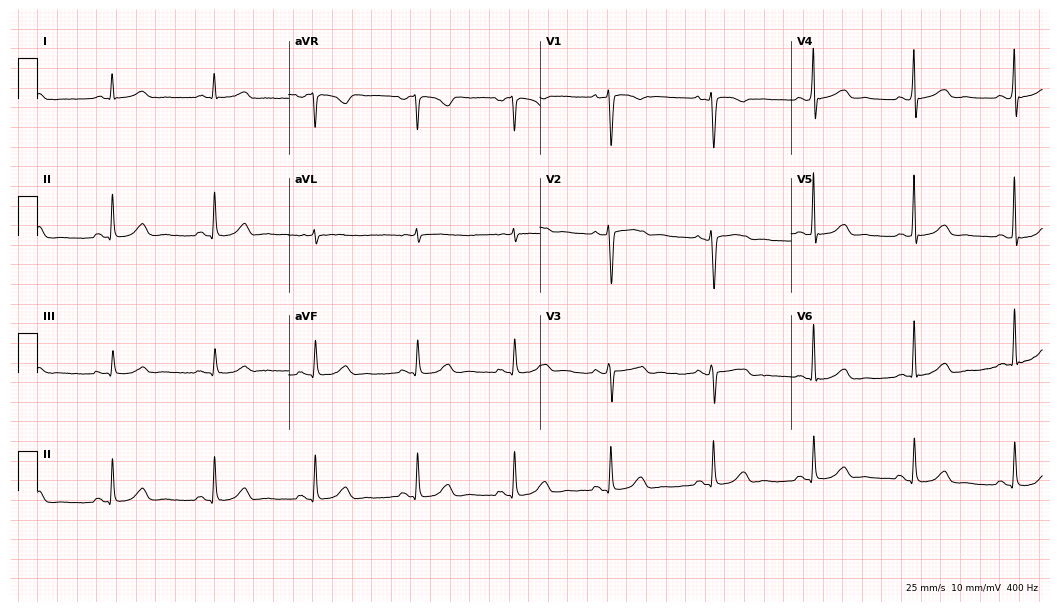
12-lead ECG from a 42-year-old female (10.2-second recording at 400 Hz). Recorded interpretation: within normal limits.